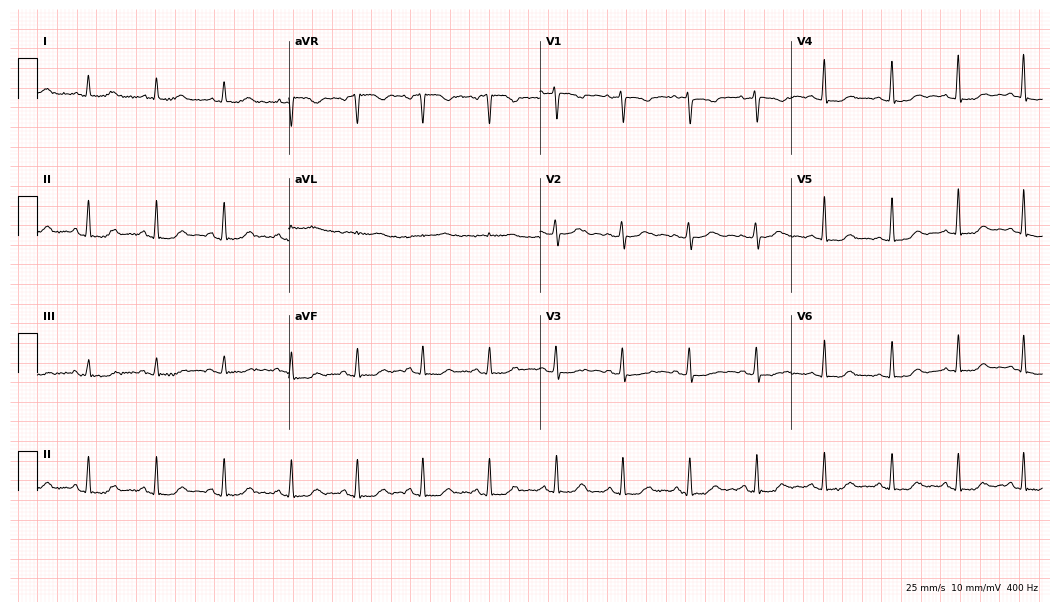
12-lead ECG from a woman, 53 years old (10.2-second recording at 400 Hz). Recorded interpretation: within normal limits.